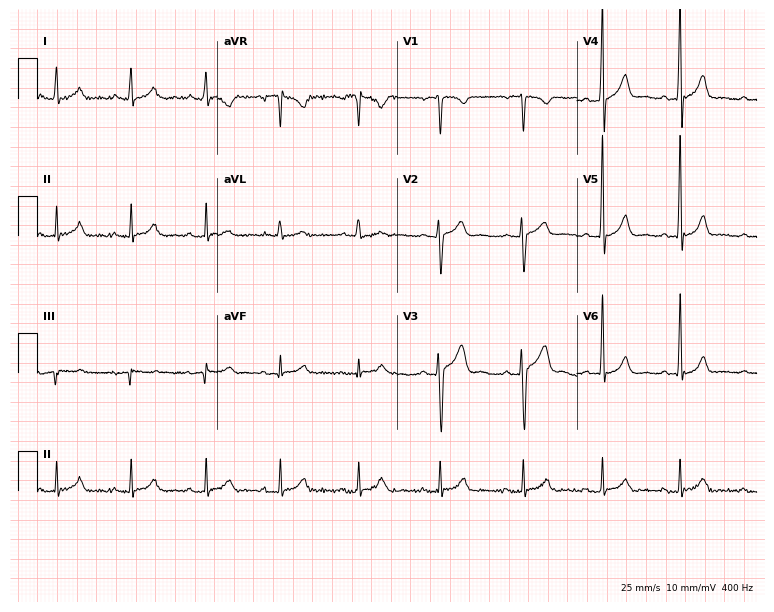
12-lead ECG from a male, 27 years old. Labelled as a normal ECG.